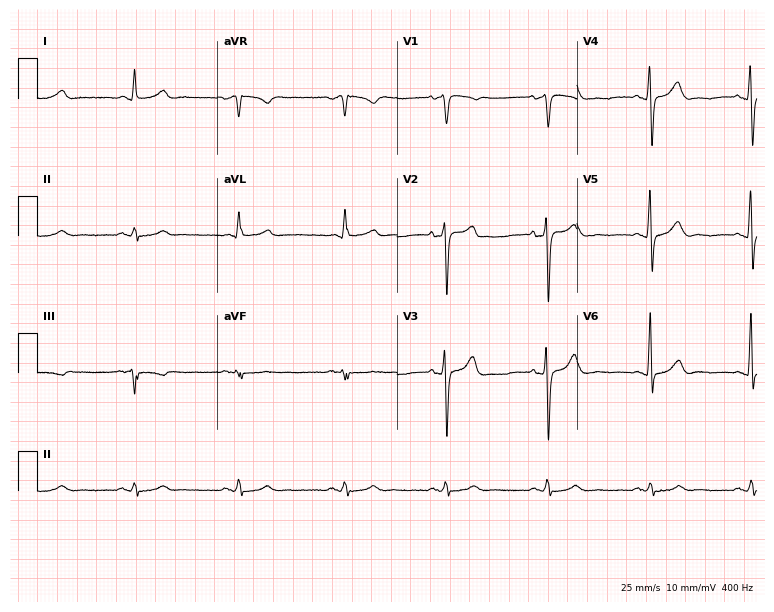
Resting 12-lead electrocardiogram. Patient: a 57-year-old male. Read as a normal ECG.